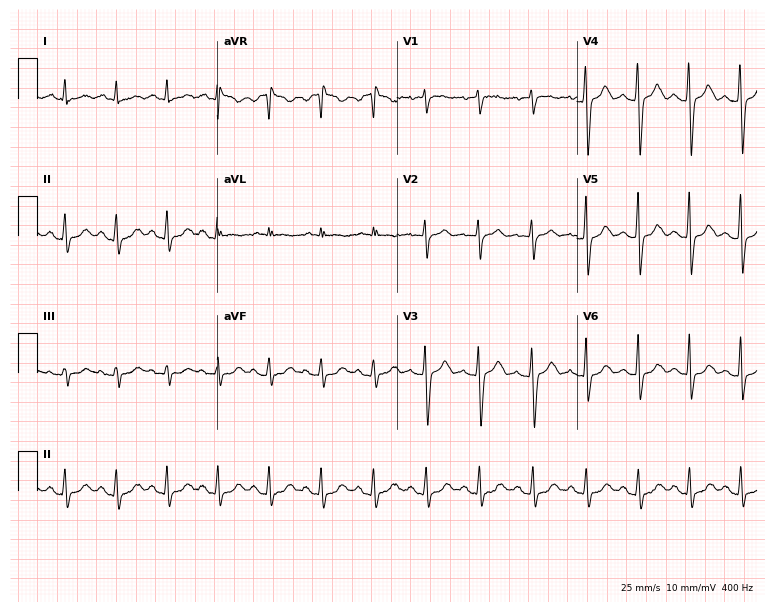
Standard 12-lead ECG recorded from a female patient, 20 years old. The tracing shows sinus tachycardia (a sinus rate of 100 beats per minute or more).